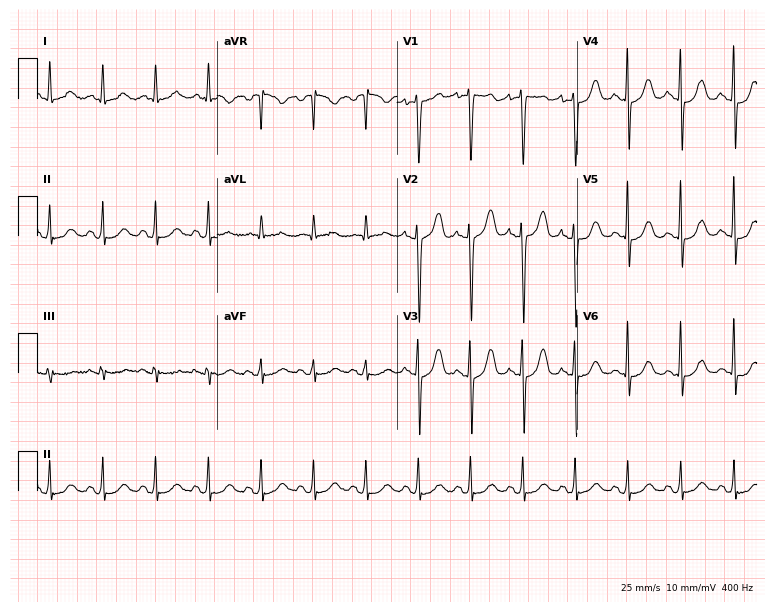
Electrocardiogram, a 37-year-old female patient. Interpretation includes sinus tachycardia (a sinus rate of 100 beats per minute or more).